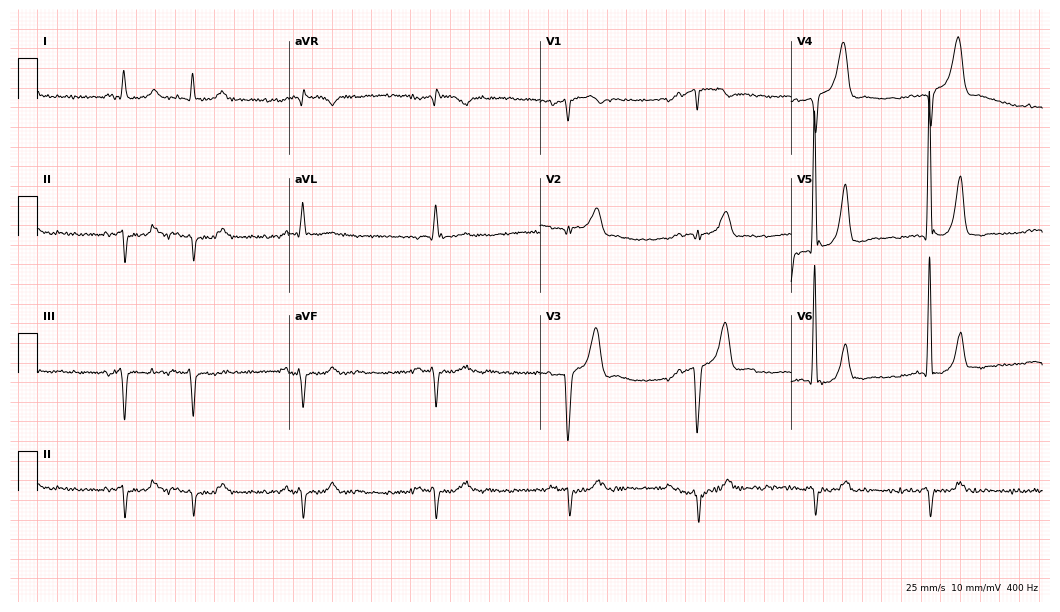
12-lead ECG (10.2-second recording at 400 Hz) from an 85-year-old man. Screened for six findings — first-degree AV block, right bundle branch block, left bundle branch block, sinus bradycardia, atrial fibrillation, sinus tachycardia — none is recorded. Findings outside these six are not listed.